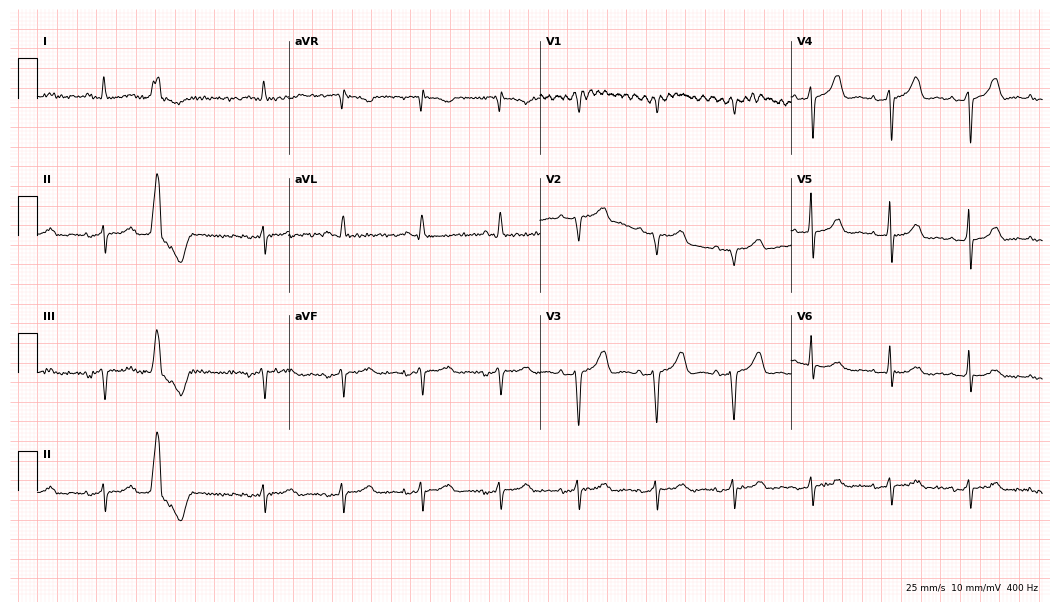
Electrocardiogram, an 81-year-old woman. Of the six screened findings (first-degree AV block, right bundle branch block, left bundle branch block, sinus bradycardia, atrial fibrillation, sinus tachycardia), none is recorded.